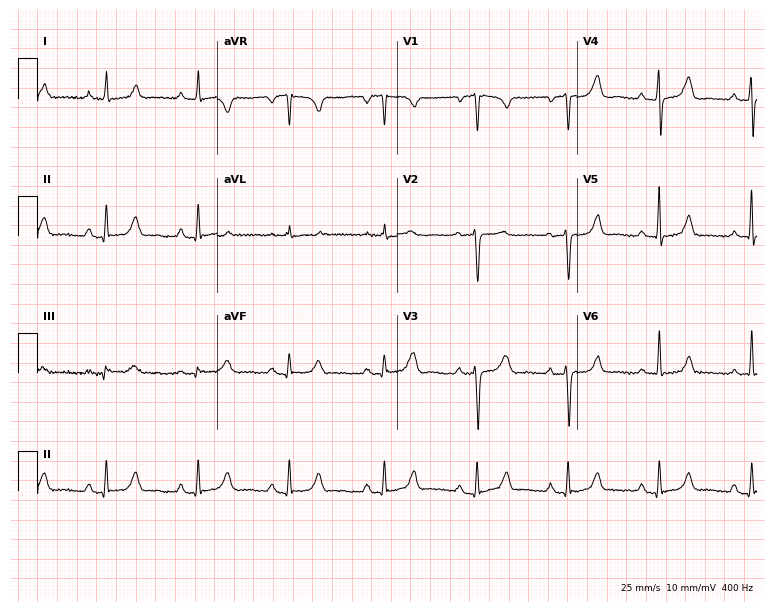
ECG (7.3-second recording at 400 Hz) — a 29-year-old female patient. Screened for six findings — first-degree AV block, right bundle branch block (RBBB), left bundle branch block (LBBB), sinus bradycardia, atrial fibrillation (AF), sinus tachycardia — none is recorded.